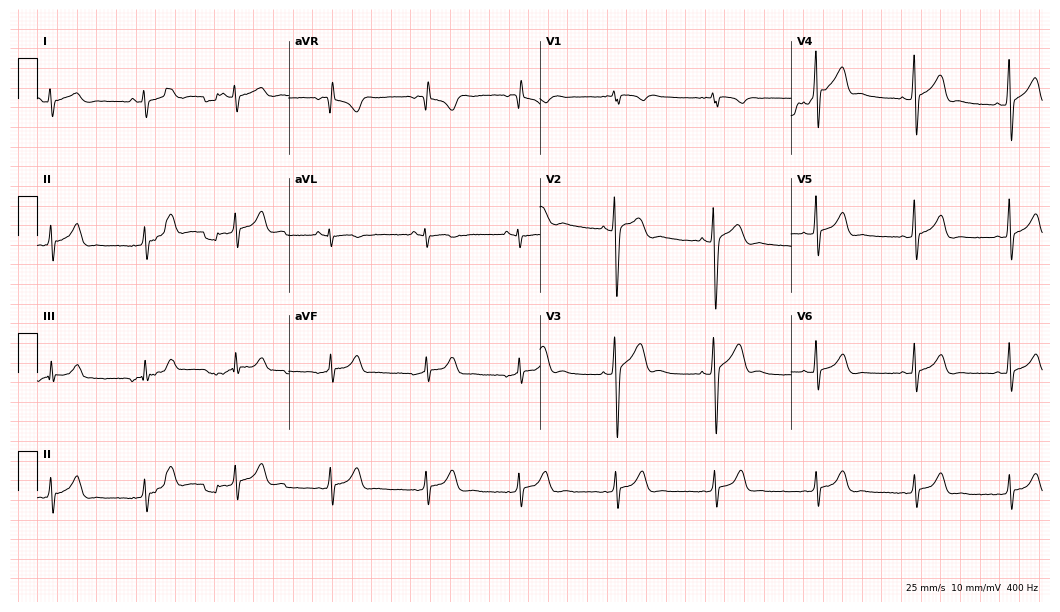
ECG — a man, 26 years old. Screened for six findings — first-degree AV block, right bundle branch block, left bundle branch block, sinus bradycardia, atrial fibrillation, sinus tachycardia — none is recorded.